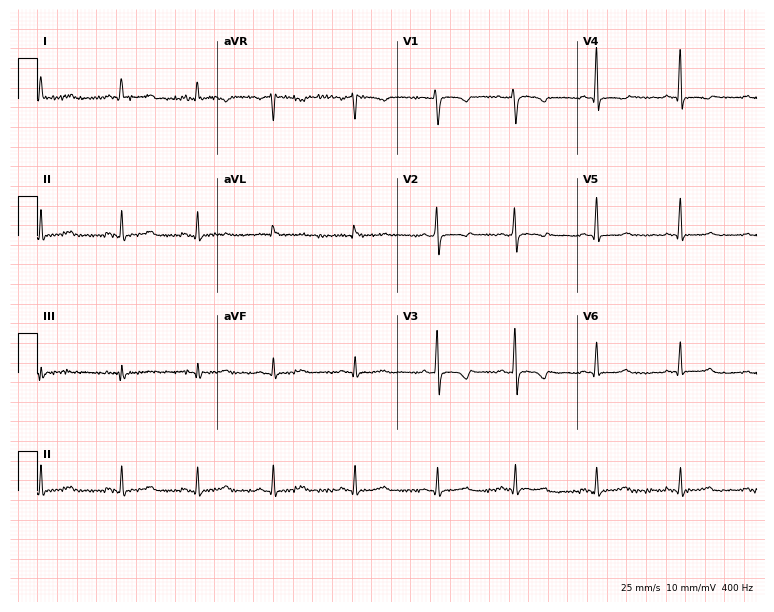
Resting 12-lead electrocardiogram (7.3-second recording at 400 Hz). Patient: a woman, 28 years old. None of these six findings is recorded: first-degree AV block, right bundle branch block, left bundle branch block, sinus bradycardia, atrial fibrillation, sinus tachycardia.